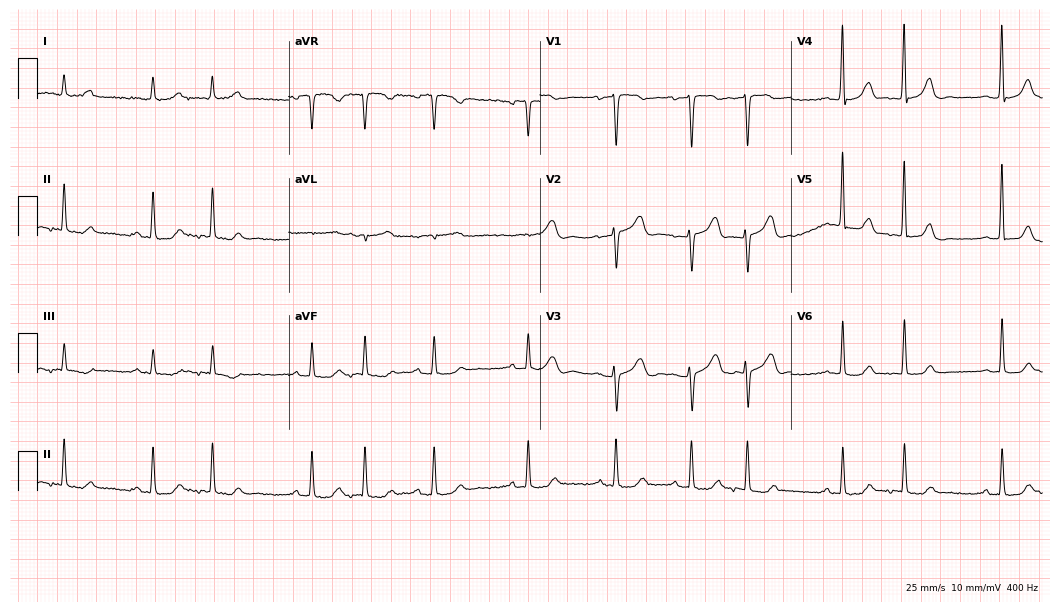
ECG (10.2-second recording at 400 Hz) — a woman, 84 years old. Screened for six findings — first-degree AV block, right bundle branch block, left bundle branch block, sinus bradycardia, atrial fibrillation, sinus tachycardia — none is recorded. Only these six findings were labelled.